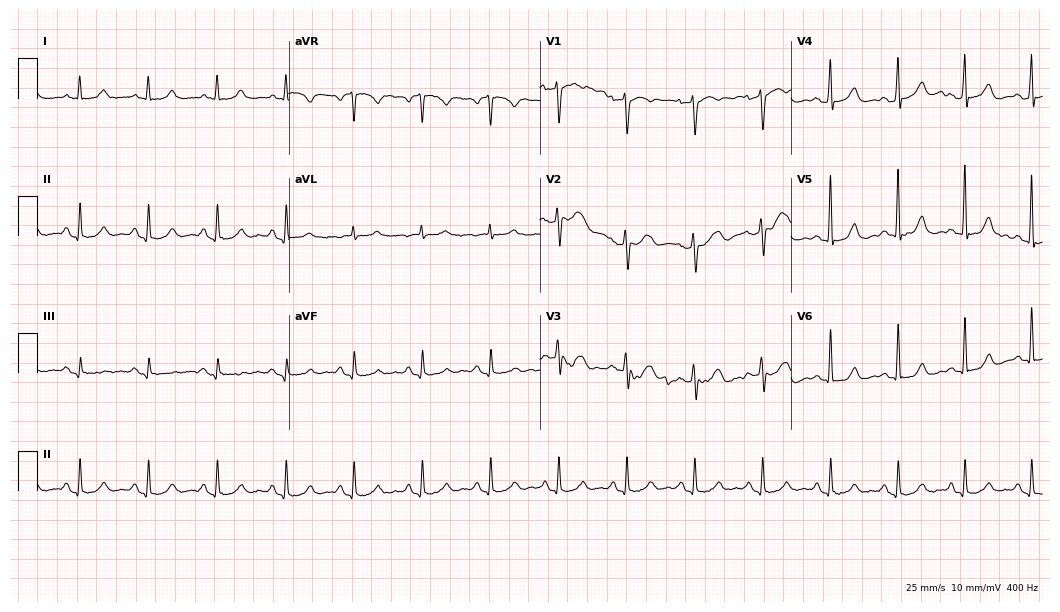
12-lead ECG (10.2-second recording at 400 Hz) from a female patient, 55 years old. Labelled as a normal ECG.